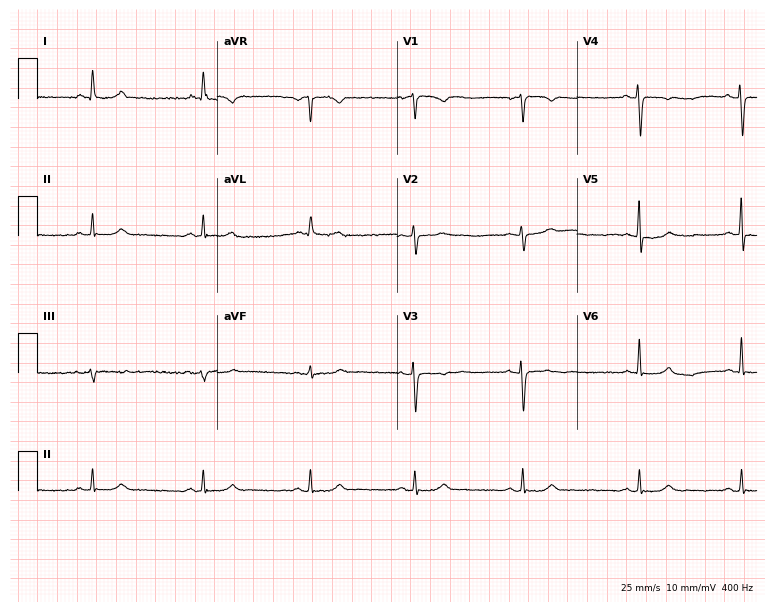
12-lead ECG from a 44-year-old female. Screened for six findings — first-degree AV block, right bundle branch block, left bundle branch block, sinus bradycardia, atrial fibrillation, sinus tachycardia — none is recorded. Findings outside these six are not listed.